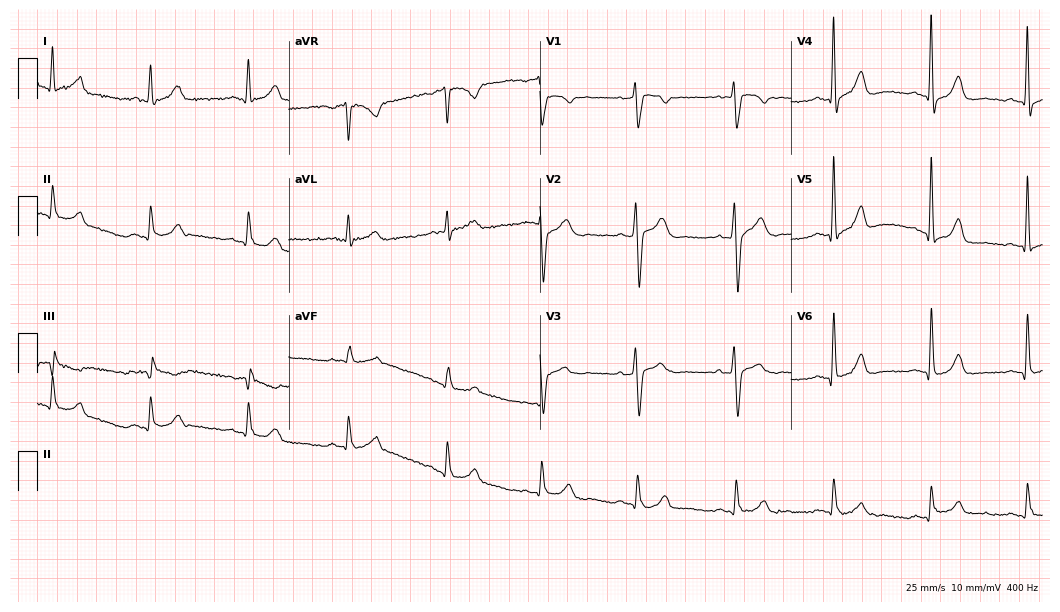
Resting 12-lead electrocardiogram. Patient: a male, 55 years old. None of these six findings is recorded: first-degree AV block, right bundle branch block, left bundle branch block, sinus bradycardia, atrial fibrillation, sinus tachycardia.